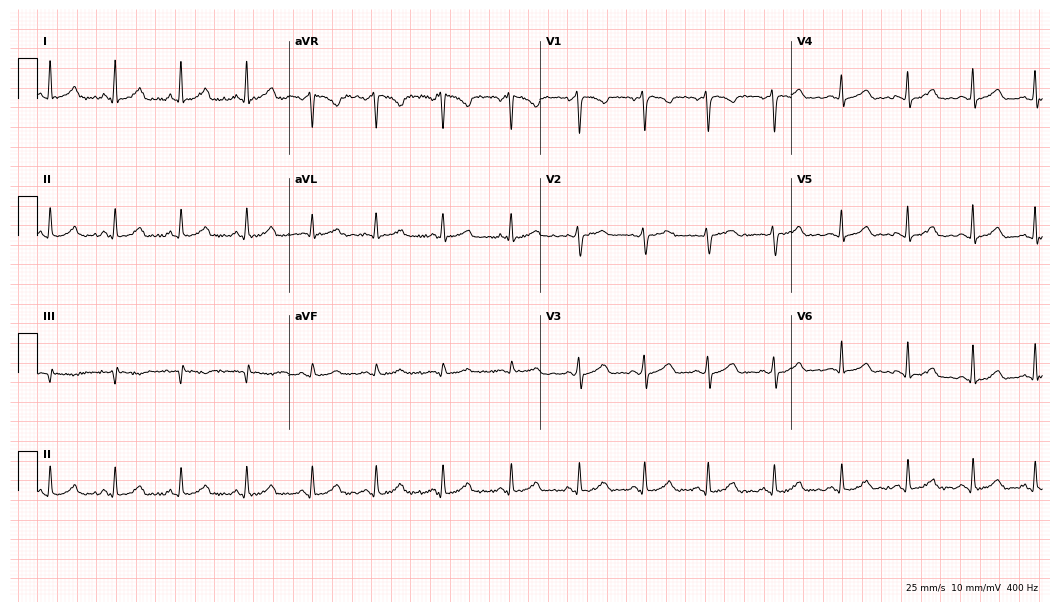
Standard 12-lead ECG recorded from a female patient, 38 years old. Read as a normal ECG.